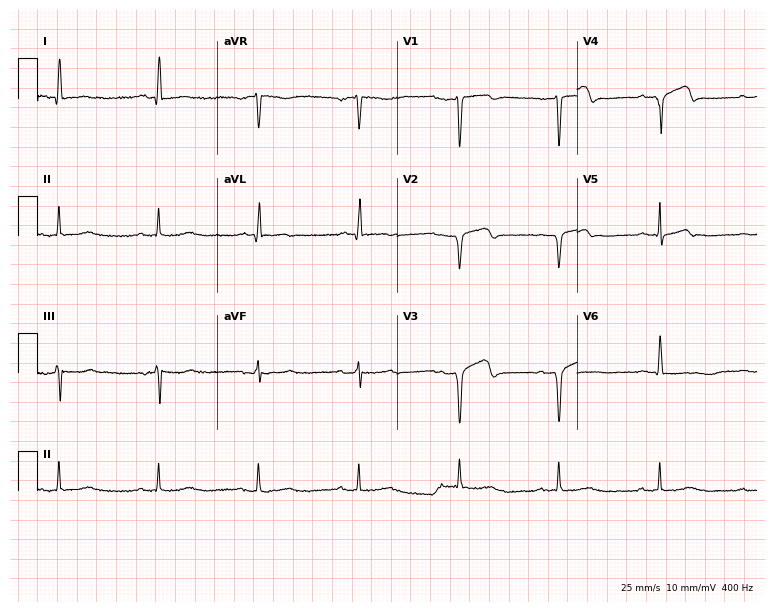
Standard 12-lead ECG recorded from a 78-year-old female (7.3-second recording at 400 Hz). None of these six findings is recorded: first-degree AV block, right bundle branch block, left bundle branch block, sinus bradycardia, atrial fibrillation, sinus tachycardia. Findings outside these six are not listed.